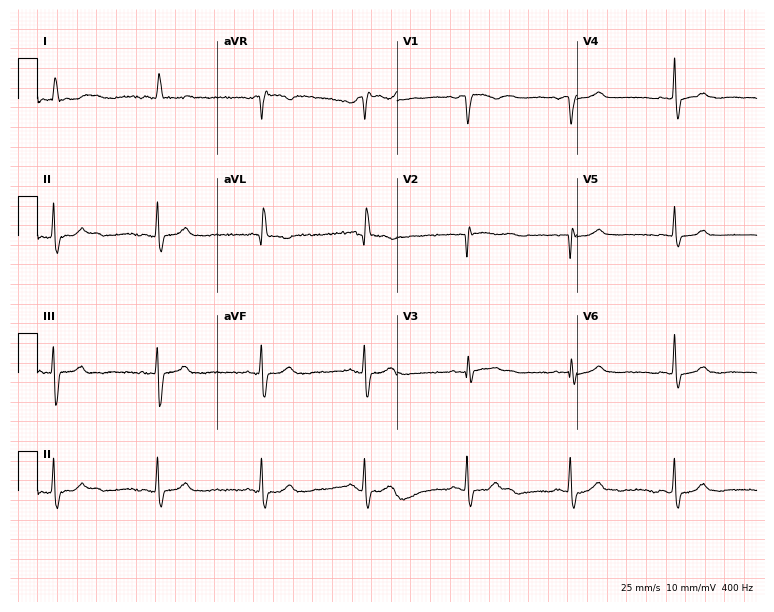
Standard 12-lead ECG recorded from a female, 73 years old (7.3-second recording at 400 Hz). None of these six findings is recorded: first-degree AV block, right bundle branch block, left bundle branch block, sinus bradycardia, atrial fibrillation, sinus tachycardia.